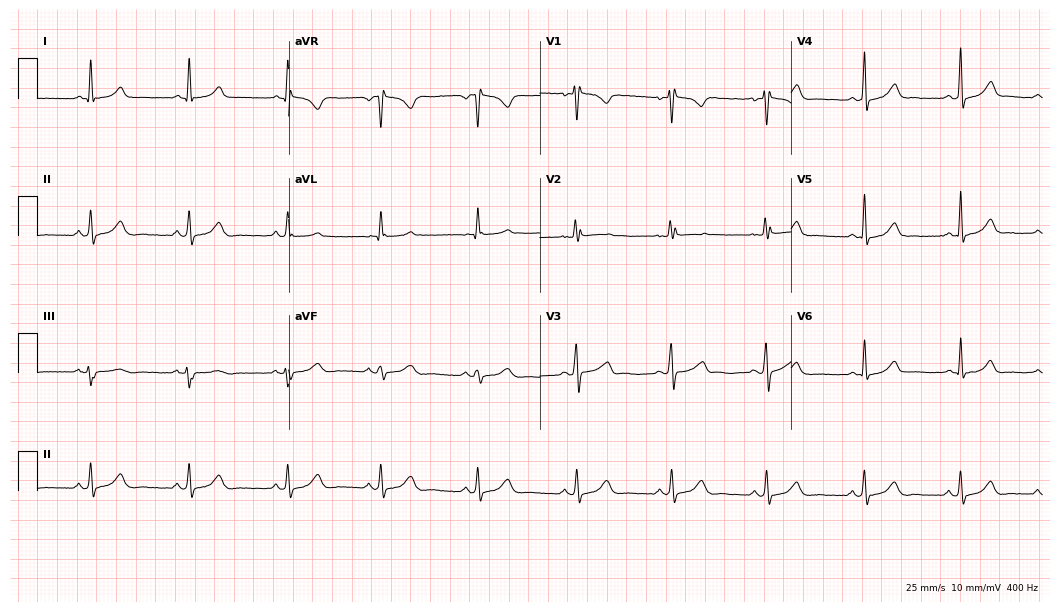
Resting 12-lead electrocardiogram. Patient: a 31-year-old woman. Read as a normal ECG.